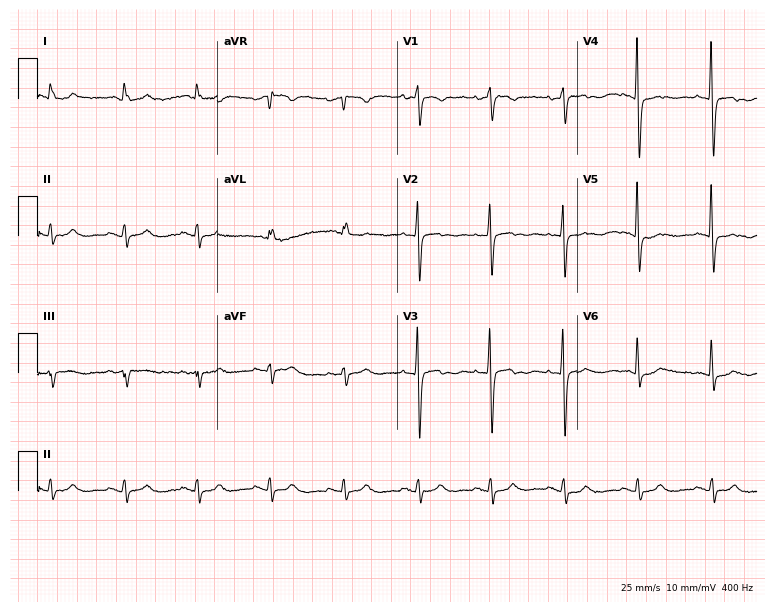
Resting 12-lead electrocardiogram (7.3-second recording at 400 Hz). Patient: a 66-year-old female. None of these six findings is recorded: first-degree AV block, right bundle branch block, left bundle branch block, sinus bradycardia, atrial fibrillation, sinus tachycardia.